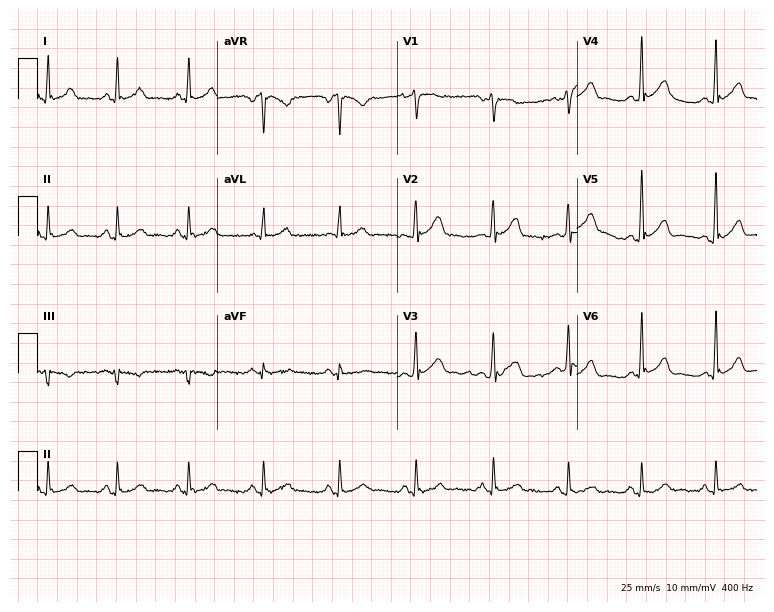
Resting 12-lead electrocardiogram. Patient: a 47-year-old male. Read as a normal ECG.